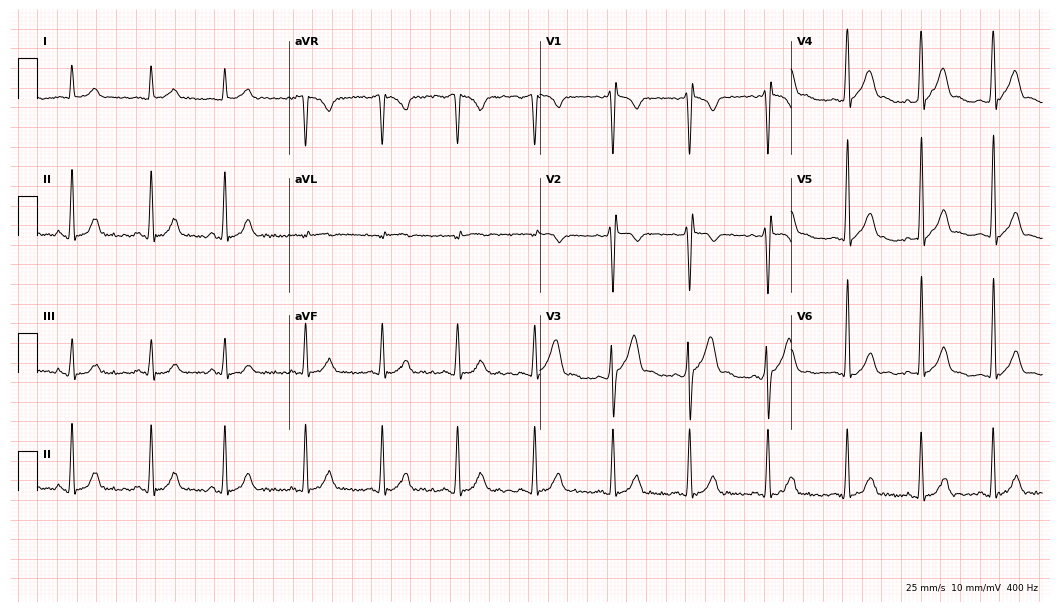
12-lead ECG from a man, 22 years old. Labelled as a normal ECG.